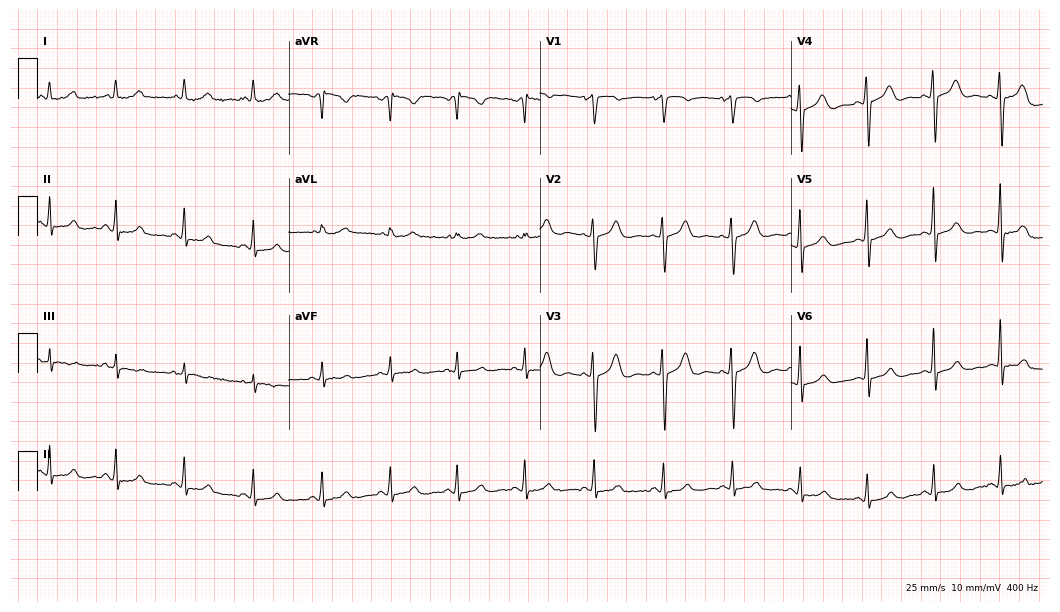
12-lead ECG from a female, 35 years old. Labelled as a normal ECG.